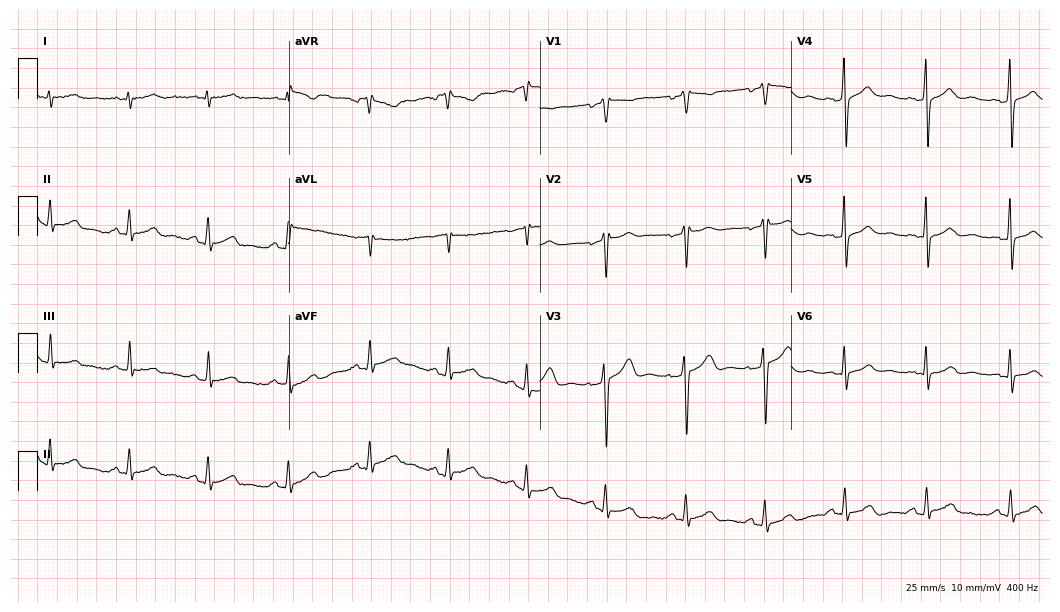
12-lead ECG from a 32-year-old man. Recorded interpretation: within normal limits.